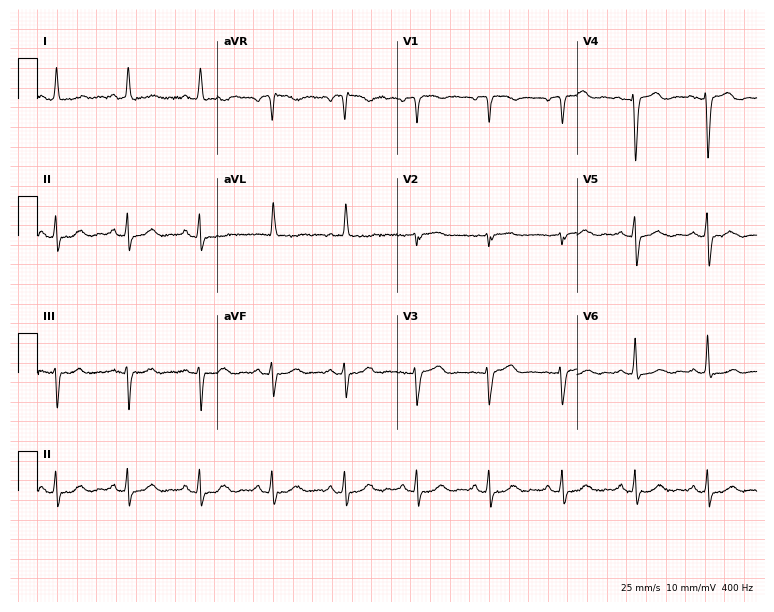
Standard 12-lead ECG recorded from a 78-year-old female patient. None of these six findings is recorded: first-degree AV block, right bundle branch block (RBBB), left bundle branch block (LBBB), sinus bradycardia, atrial fibrillation (AF), sinus tachycardia.